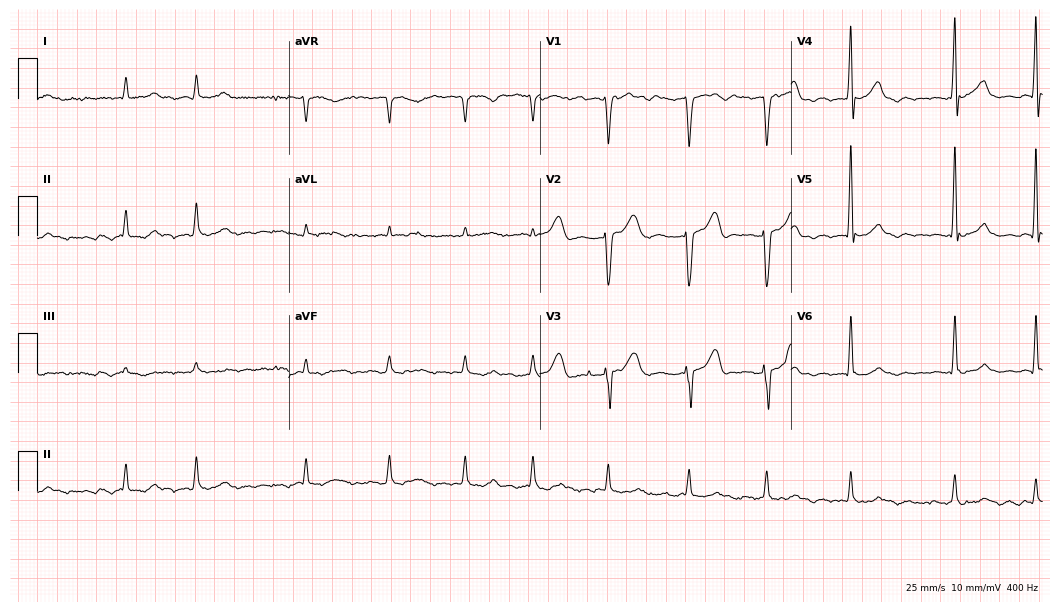
ECG (10.2-second recording at 400 Hz) — a male, 73 years old. Findings include atrial fibrillation.